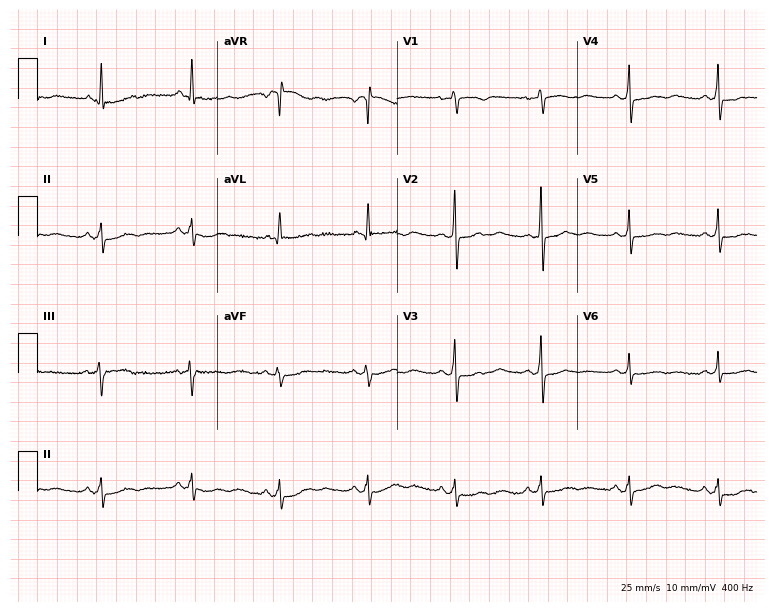
ECG (7.3-second recording at 400 Hz) — a 67-year-old female. Screened for six findings — first-degree AV block, right bundle branch block (RBBB), left bundle branch block (LBBB), sinus bradycardia, atrial fibrillation (AF), sinus tachycardia — none is recorded. Findings outside these six are not listed.